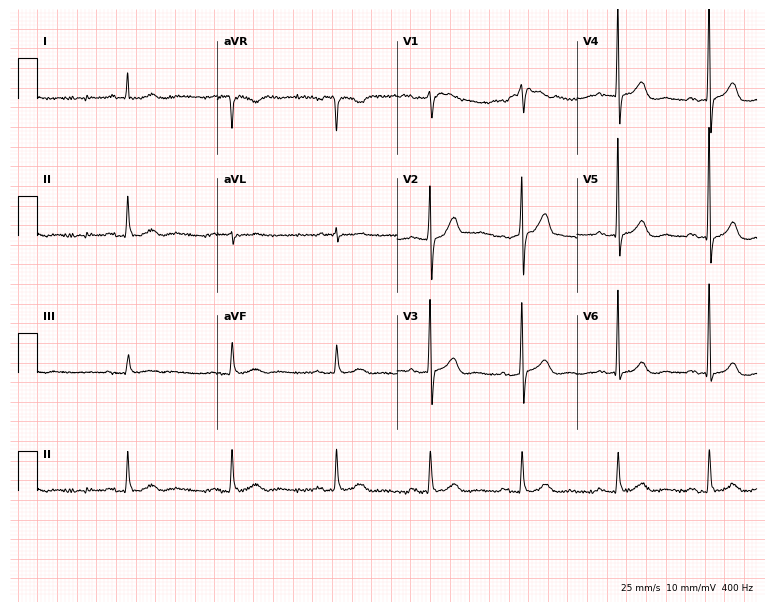
12-lead ECG from a male patient, 81 years old. Recorded interpretation: within normal limits.